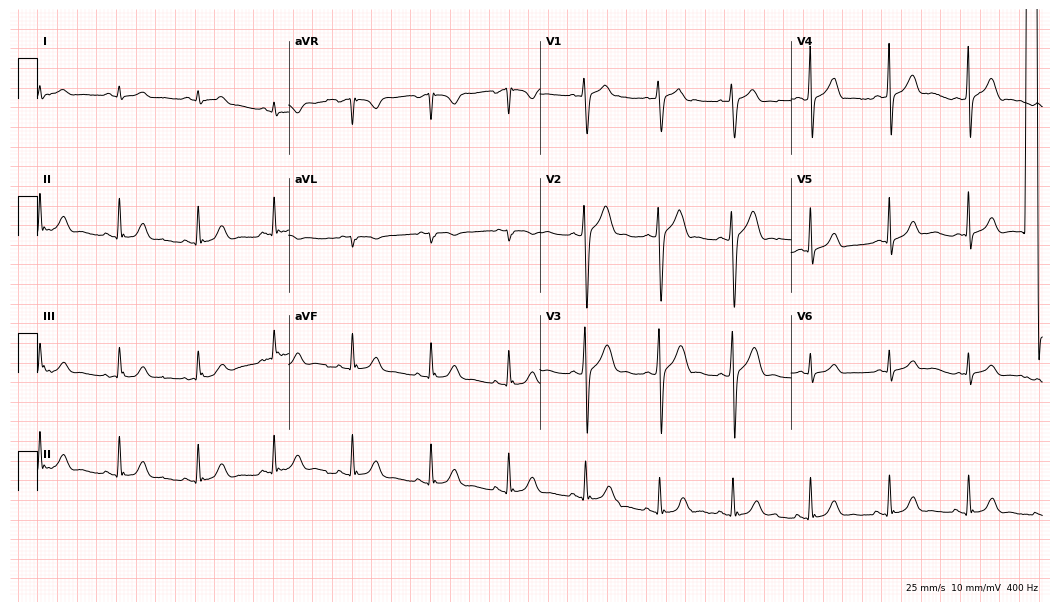
12-lead ECG (10.2-second recording at 400 Hz) from a male patient, 26 years old. Screened for six findings — first-degree AV block, right bundle branch block, left bundle branch block, sinus bradycardia, atrial fibrillation, sinus tachycardia — none is recorded.